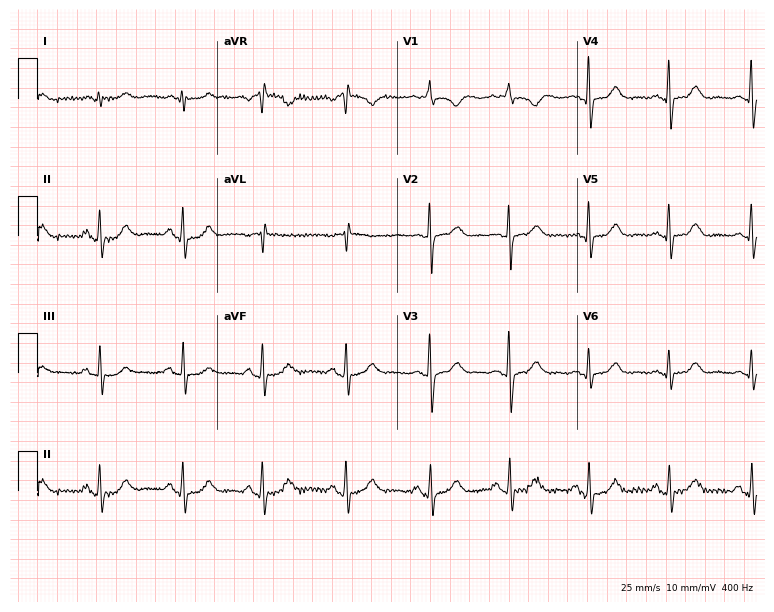
12-lead ECG from a female, 74 years old (7.3-second recording at 400 Hz). No first-degree AV block, right bundle branch block (RBBB), left bundle branch block (LBBB), sinus bradycardia, atrial fibrillation (AF) or sinus tachycardia recorded for this tracing. Only these six findings were labelled.